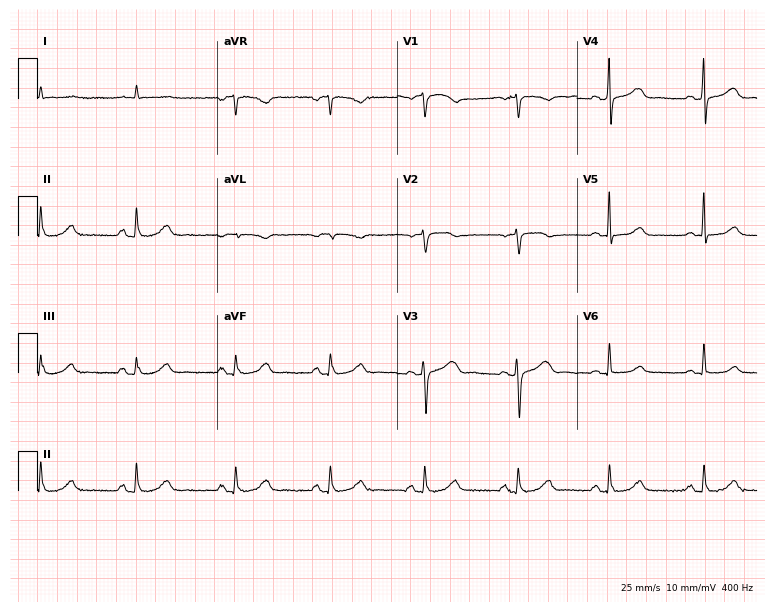
Resting 12-lead electrocardiogram (7.3-second recording at 400 Hz). Patient: a male, 67 years old. Read as a normal ECG.